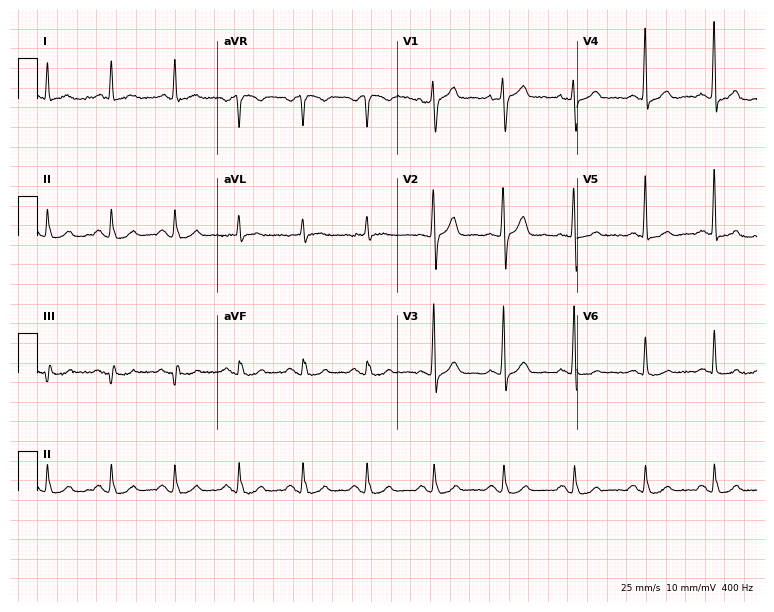
12-lead ECG from a 56-year-old male patient. Recorded interpretation: within normal limits.